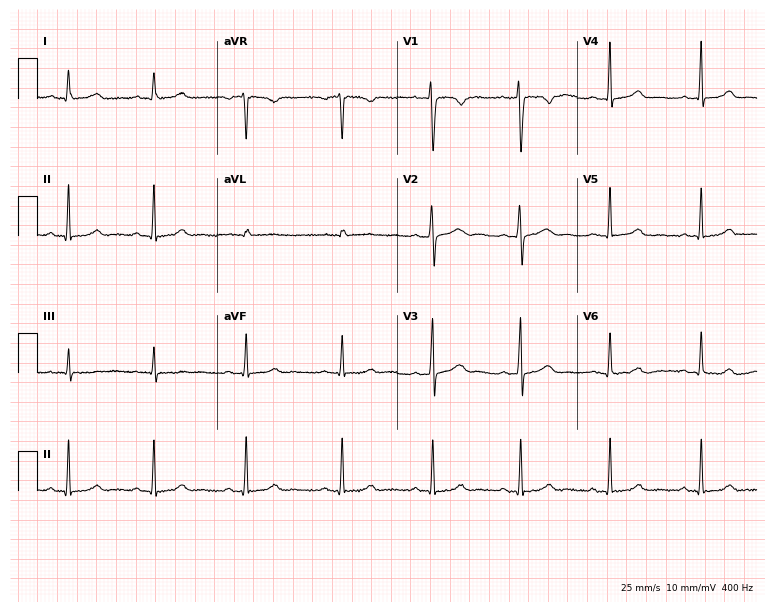
Standard 12-lead ECG recorded from a female patient, 30 years old (7.3-second recording at 400 Hz). Read as a normal ECG.